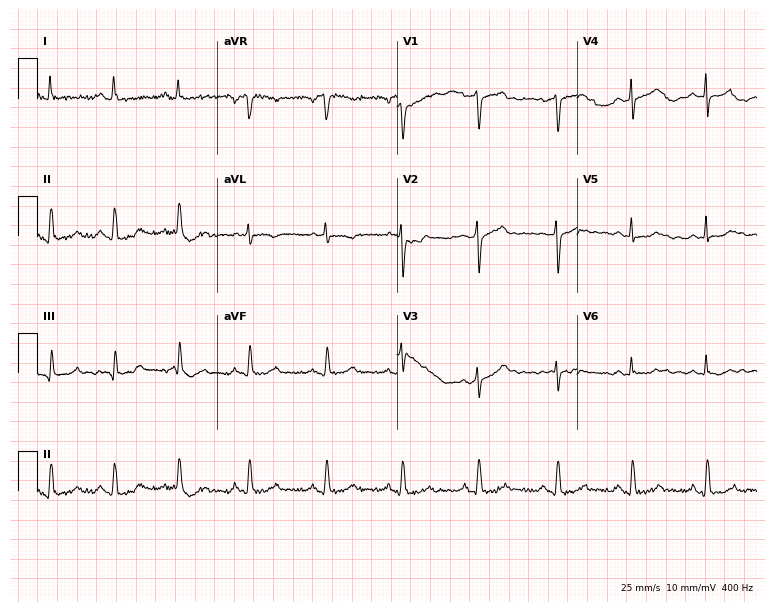
Electrocardiogram (7.3-second recording at 400 Hz), a 49-year-old woman. Overall reading on record: normal ECG.